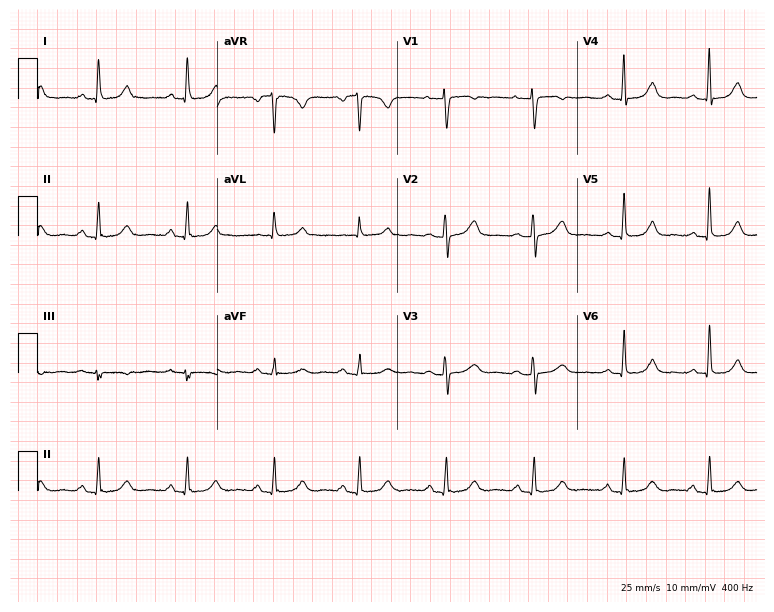
Electrocardiogram (7.3-second recording at 400 Hz), a female, 68 years old. Overall reading on record: normal ECG.